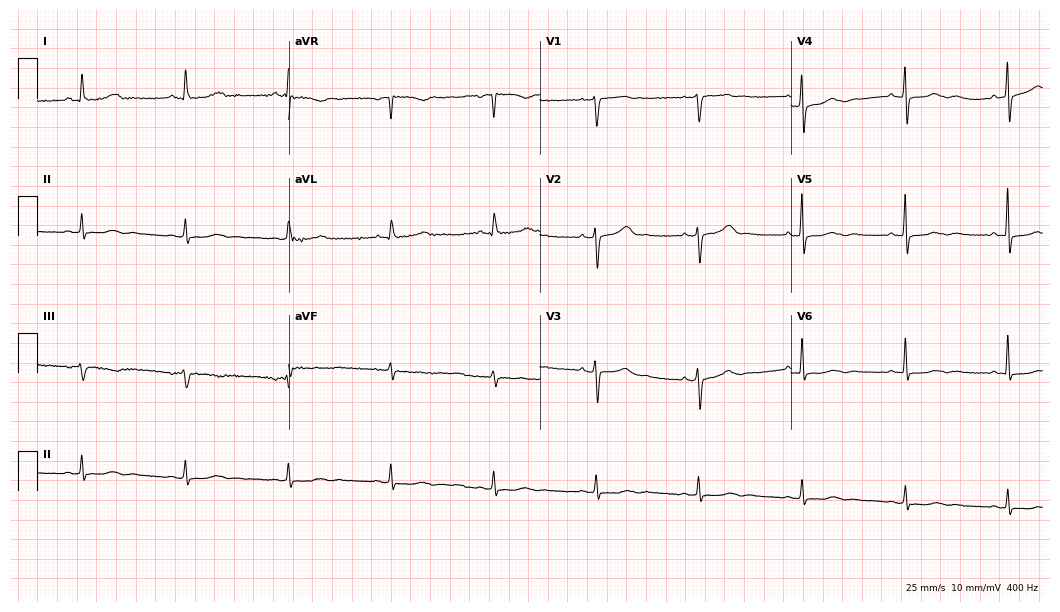
ECG (10.2-second recording at 400 Hz) — a 67-year-old female patient. Labelled as a normal ECG.